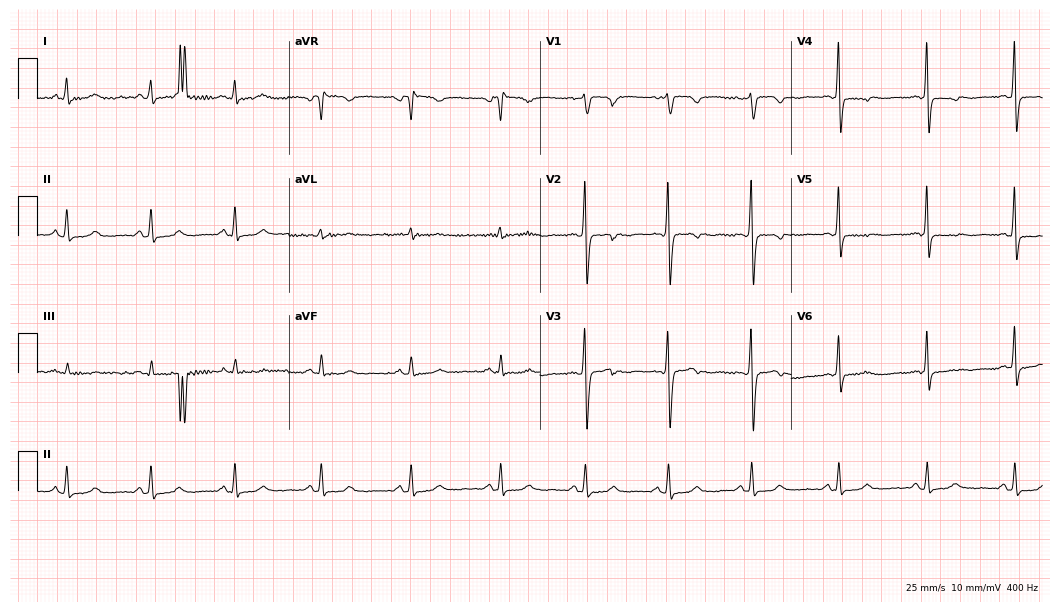
12-lead ECG (10.2-second recording at 400 Hz) from a 32-year-old woman. Screened for six findings — first-degree AV block, right bundle branch block, left bundle branch block, sinus bradycardia, atrial fibrillation, sinus tachycardia — none is recorded.